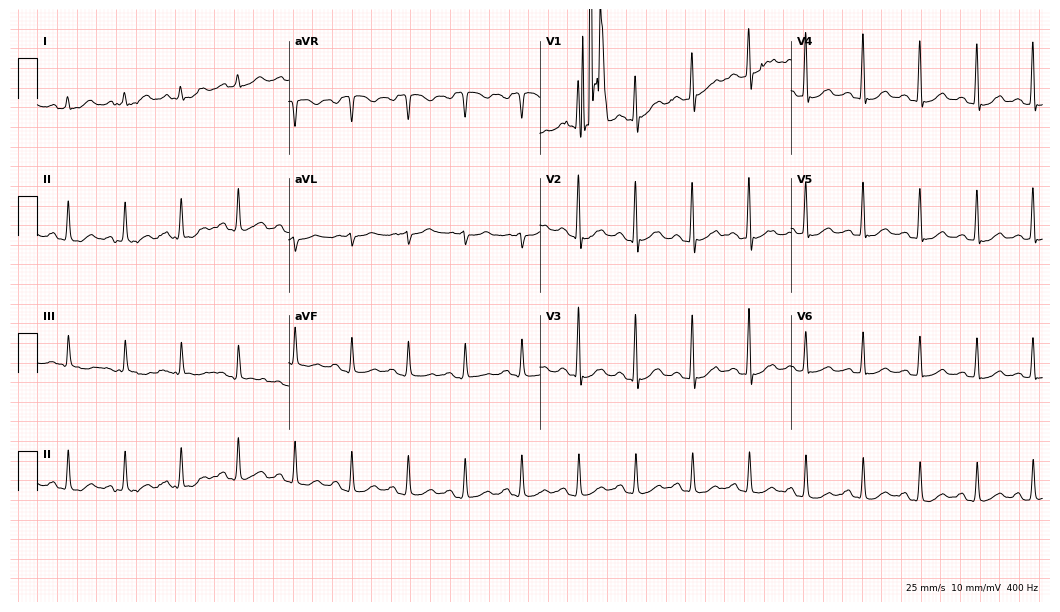
12-lead ECG from a male, 72 years old (10.2-second recording at 400 Hz). No first-degree AV block, right bundle branch block (RBBB), left bundle branch block (LBBB), sinus bradycardia, atrial fibrillation (AF) or sinus tachycardia recorded for this tracing.